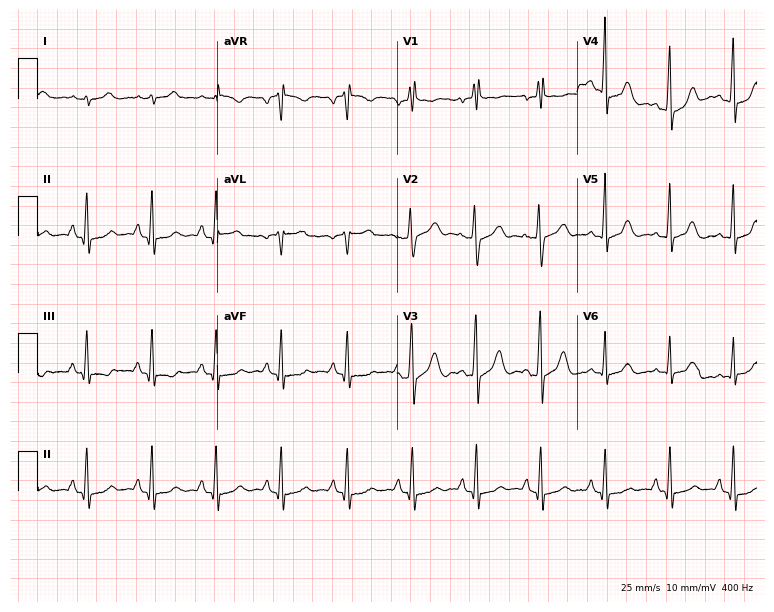
12-lead ECG from a 69-year-old male patient (7.3-second recording at 400 Hz). No first-degree AV block, right bundle branch block (RBBB), left bundle branch block (LBBB), sinus bradycardia, atrial fibrillation (AF) or sinus tachycardia recorded for this tracing. Only these six findings were labelled.